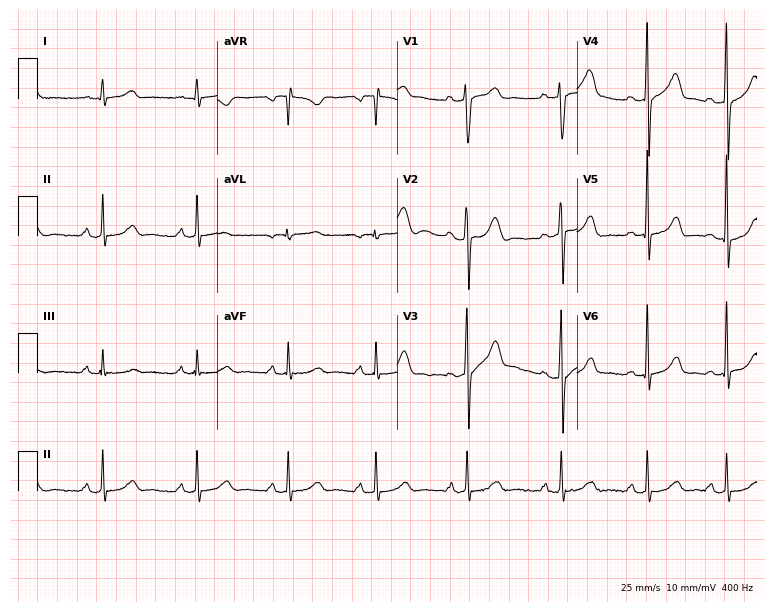
12-lead ECG from a man, 25 years old. Recorded interpretation: within normal limits.